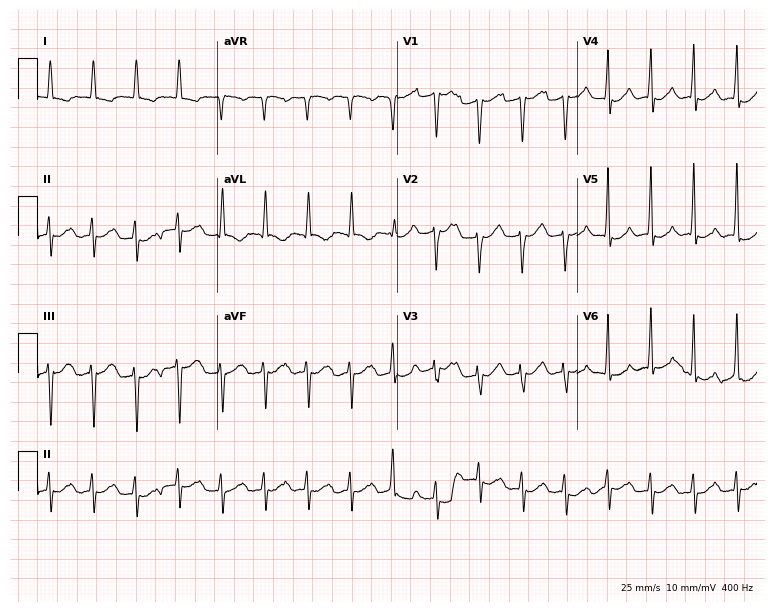
Resting 12-lead electrocardiogram (7.3-second recording at 400 Hz). Patient: a female, 81 years old. The tracing shows sinus tachycardia (a sinus rate of 100 beats per minute or more).